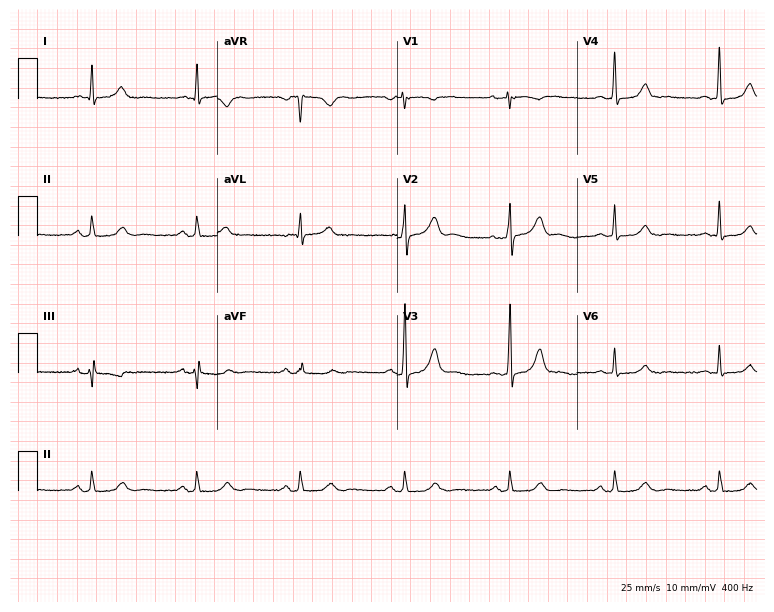
Resting 12-lead electrocardiogram. Patient: a woman, 48 years old. Read as a normal ECG.